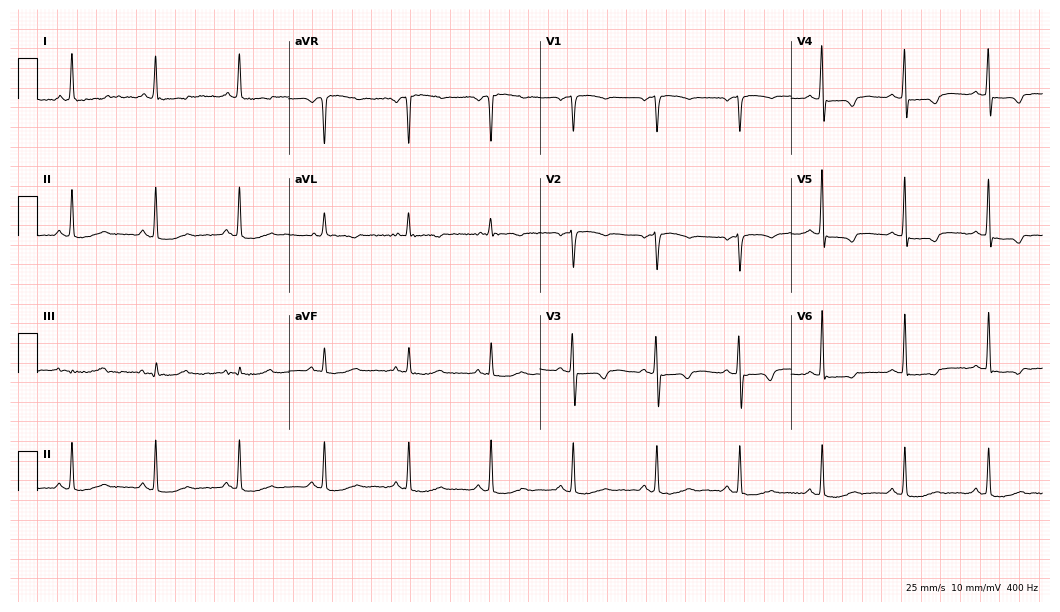
Electrocardiogram (10.2-second recording at 400 Hz), a male patient, 81 years old. Of the six screened findings (first-degree AV block, right bundle branch block, left bundle branch block, sinus bradycardia, atrial fibrillation, sinus tachycardia), none is recorded. Other findings, if any, are not listed.